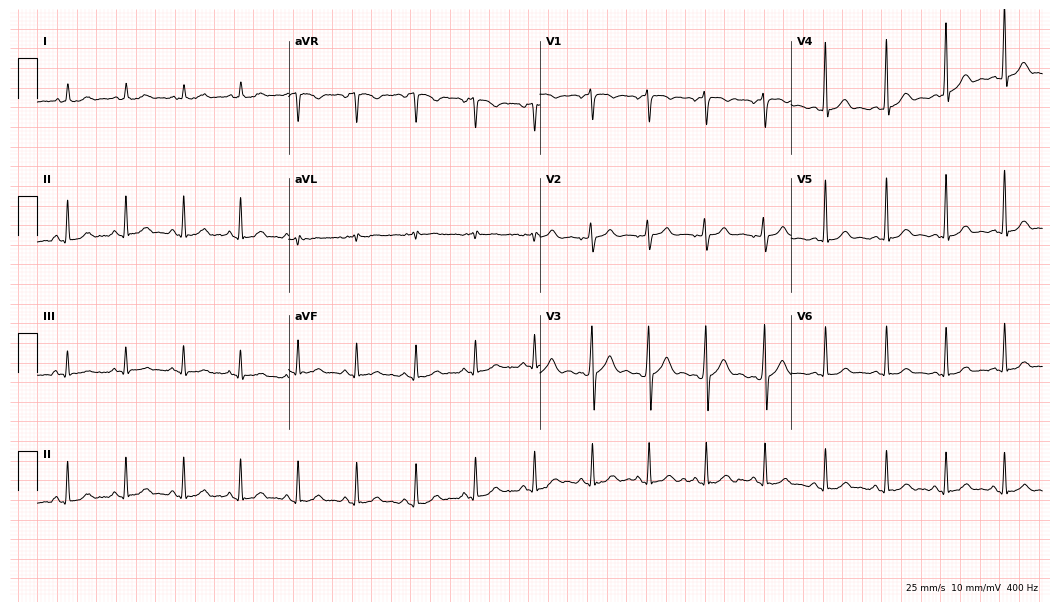
Resting 12-lead electrocardiogram. Patient: a 21-year-old male. The tracing shows sinus tachycardia (a sinus rate of 100 beats per minute or more).